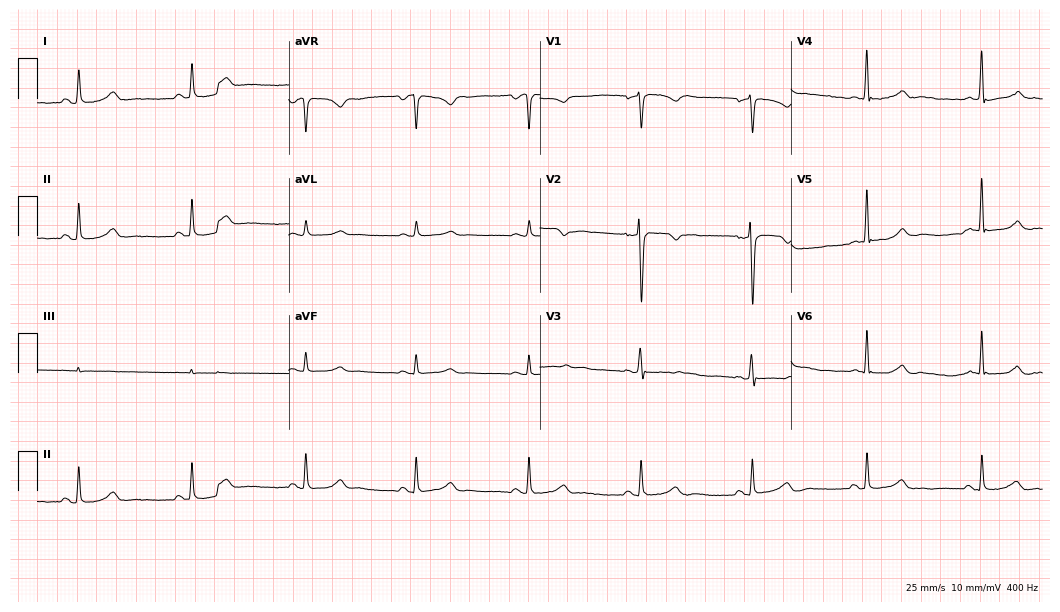
12-lead ECG from a 49-year-old male. Screened for six findings — first-degree AV block, right bundle branch block, left bundle branch block, sinus bradycardia, atrial fibrillation, sinus tachycardia — none is recorded.